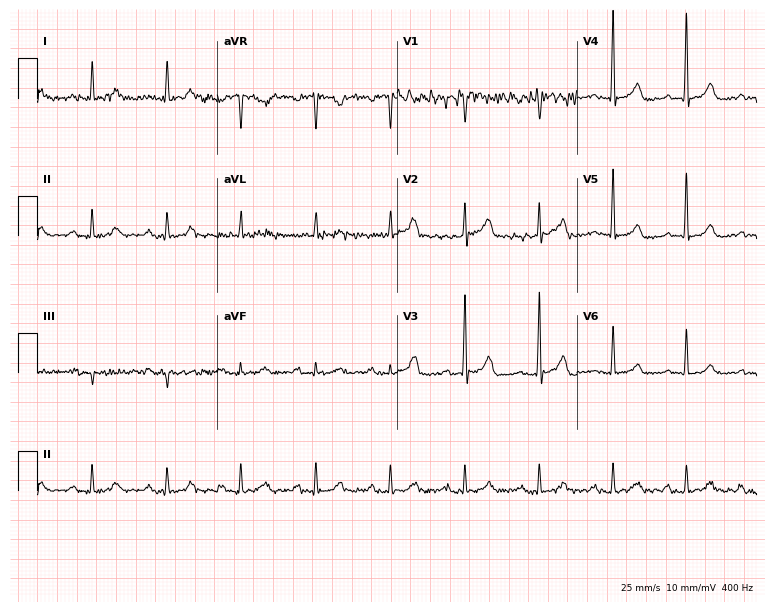
Standard 12-lead ECG recorded from a male, 72 years old. Read as a normal ECG.